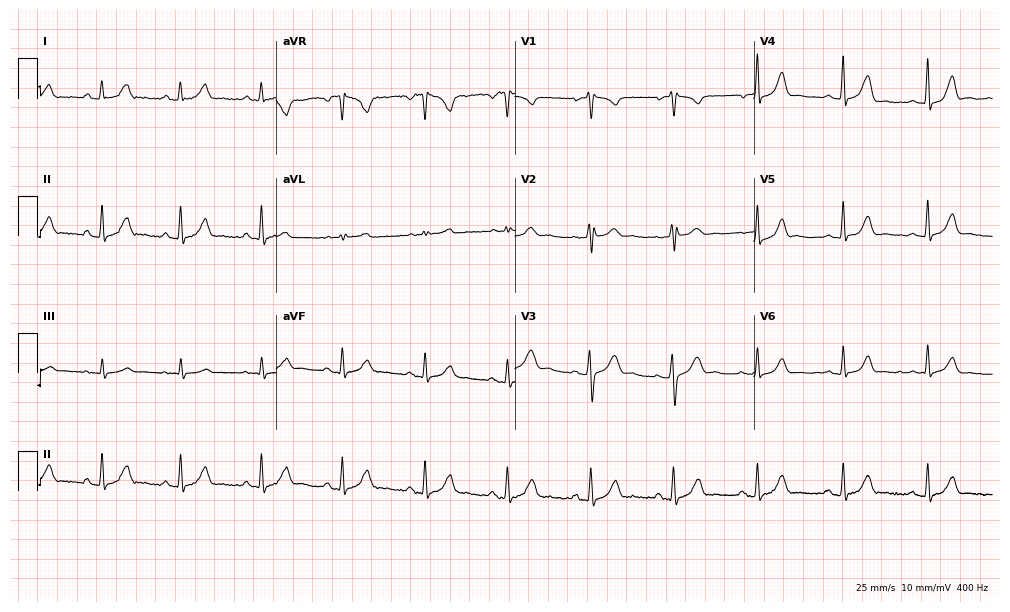
ECG (9.7-second recording at 400 Hz) — a 47-year-old female. Labelled as a normal ECG.